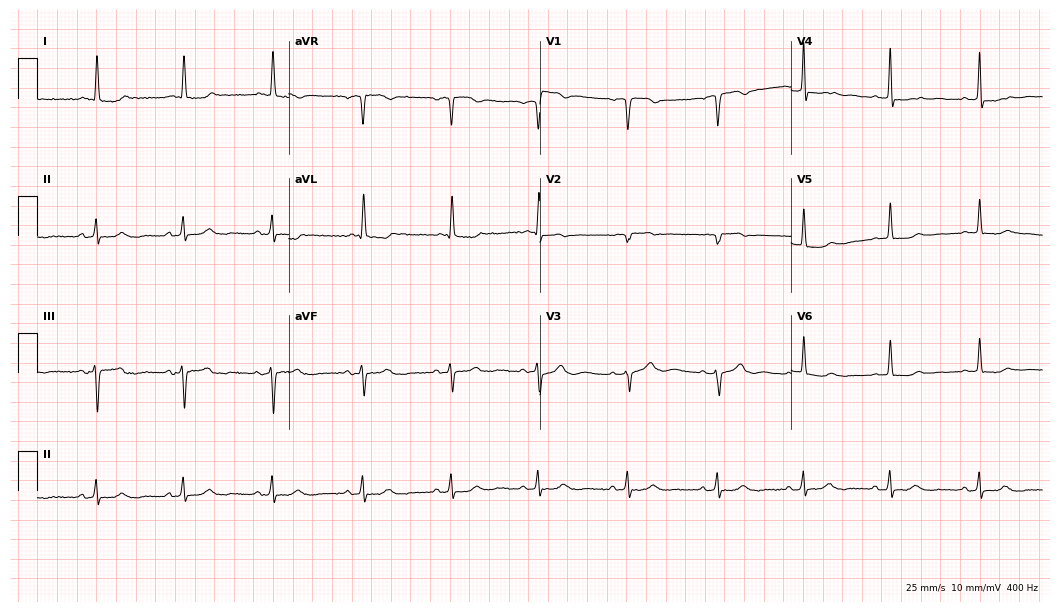
Standard 12-lead ECG recorded from an 83-year-old female patient. Read as a normal ECG.